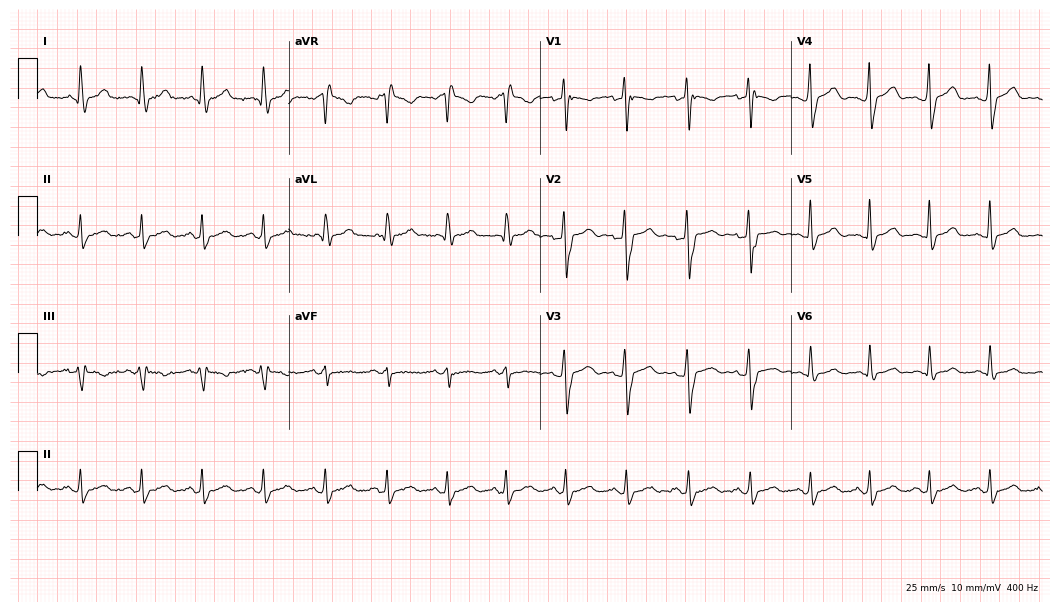
12-lead ECG from a male, 30 years old (10.2-second recording at 400 Hz). No first-degree AV block, right bundle branch block (RBBB), left bundle branch block (LBBB), sinus bradycardia, atrial fibrillation (AF) or sinus tachycardia recorded for this tracing.